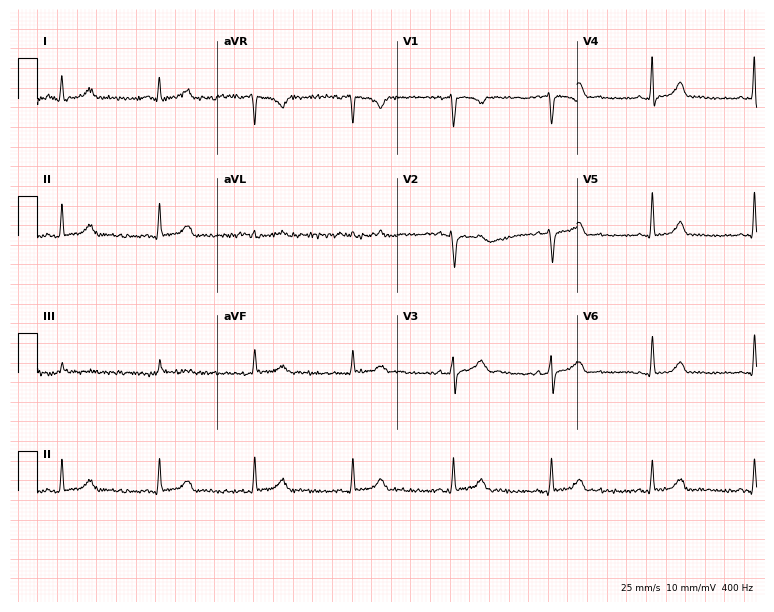
Standard 12-lead ECG recorded from a 43-year-old woman (7.3-second recording at 400 Hz). Read as a normal ECG.